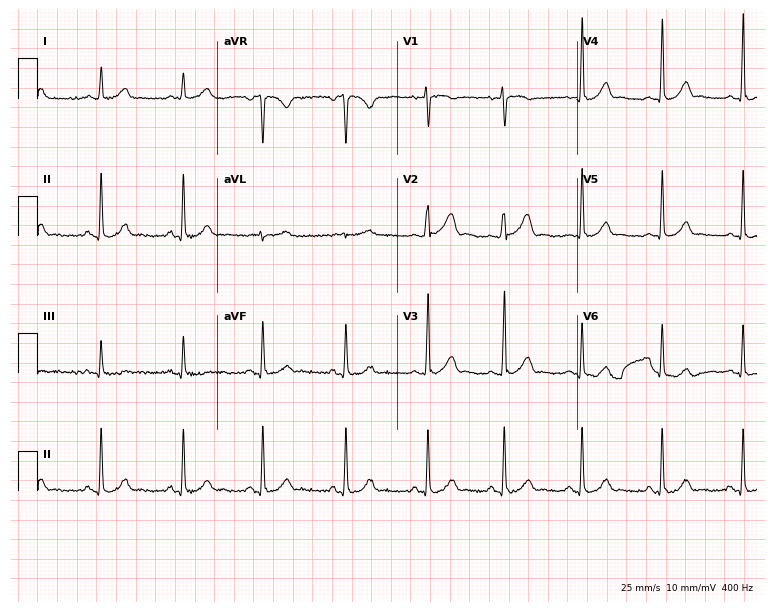
12-lead ECG from a 26-year-old female patient. Labelled as a normal ECG.